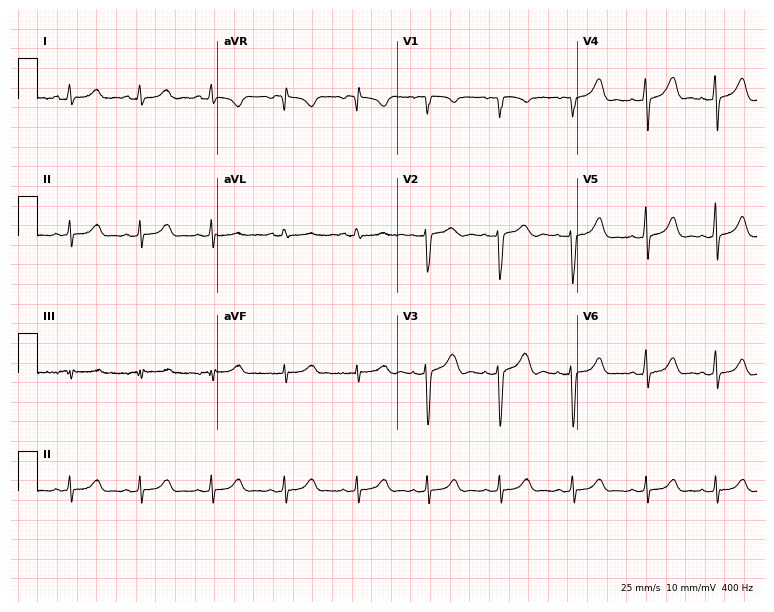
Electrocardiogram (7.3-second recording at 400 Hz), a woman, 17 years old. Overall reading on record: normal ECG.